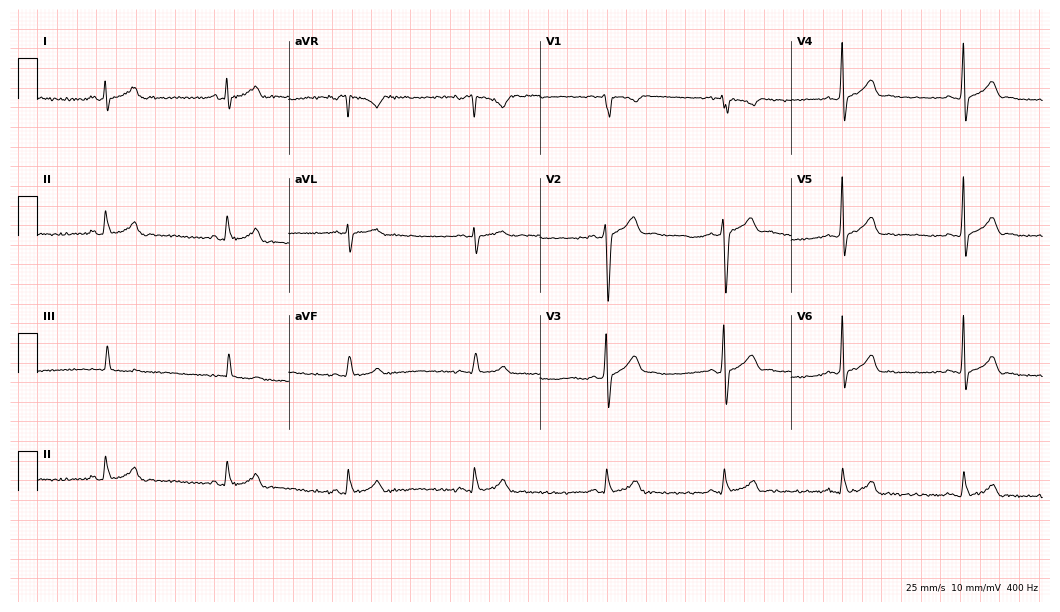
ECG — a 23-year-old man. Screened for six findings — first-degree AV block, right bundle branch block (RBBB), left bundle branch block (LBBB), sinus bradycardia, atrial fibrillation (AF), sinus tachycardia — none is recorded.